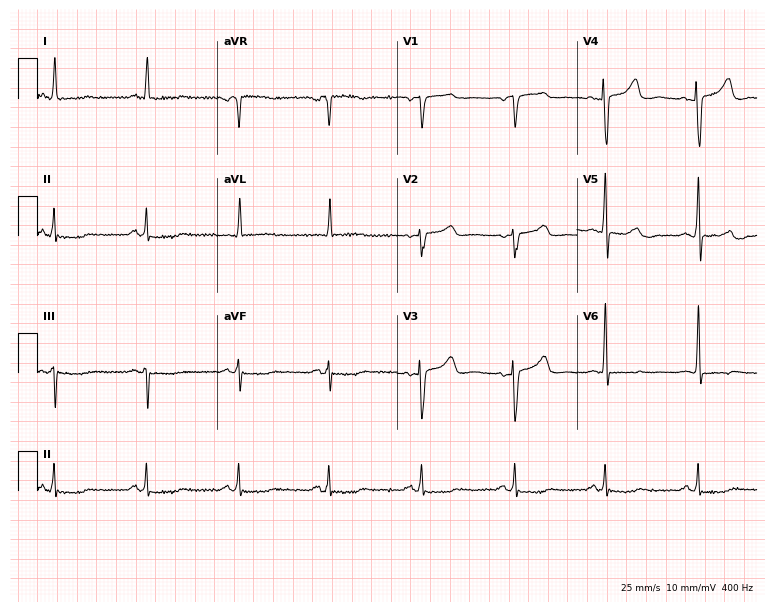
Resting 12-lead electrocardiogram. Patient: a 57-year-old female. Read as a normal ECG.